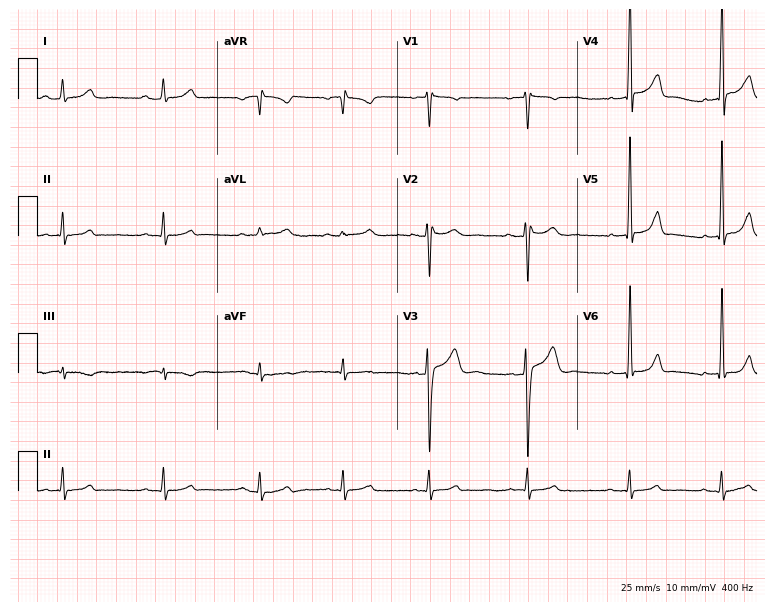
12-lead ECG from a woman, 21 years old. Recorded interpretation: within normal limits.